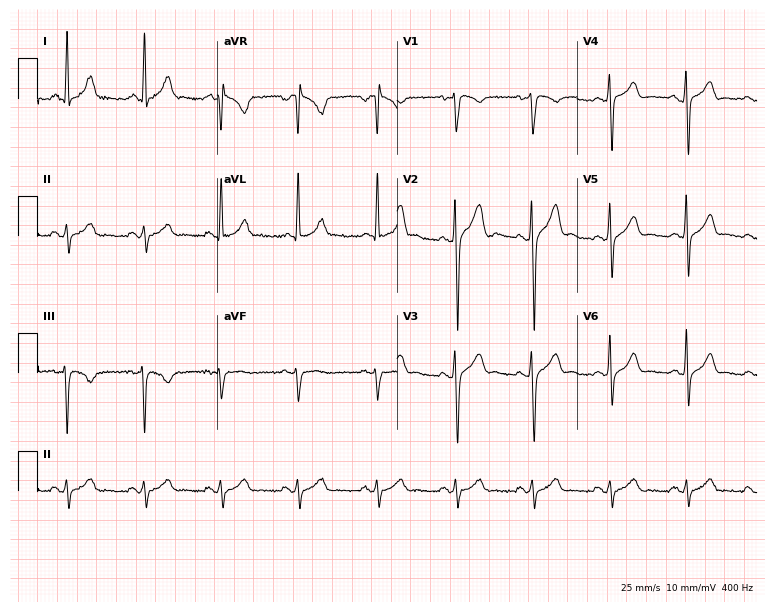
Standard 12-lead ECG recorded from a male, 31 years old. None of these six findings is recorded: first-degree AV block, right bundle branch block, left bundle branch block, sinus bradycardia, atrial fibrillation, sinus tachycardia.